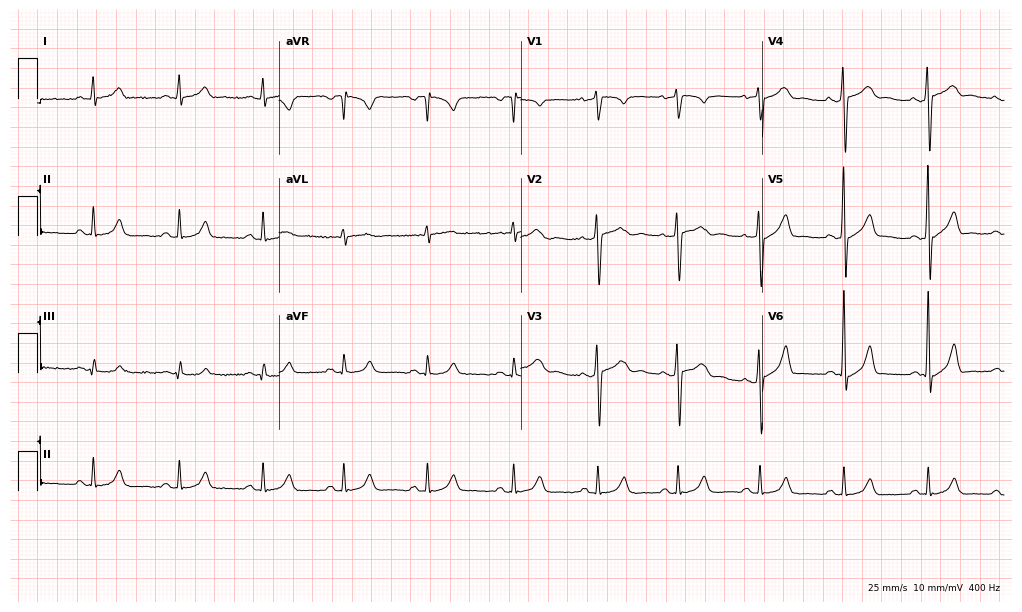
12-lead ECG from a male patient, 26 years old. Recorded interpretation: within normal limits.